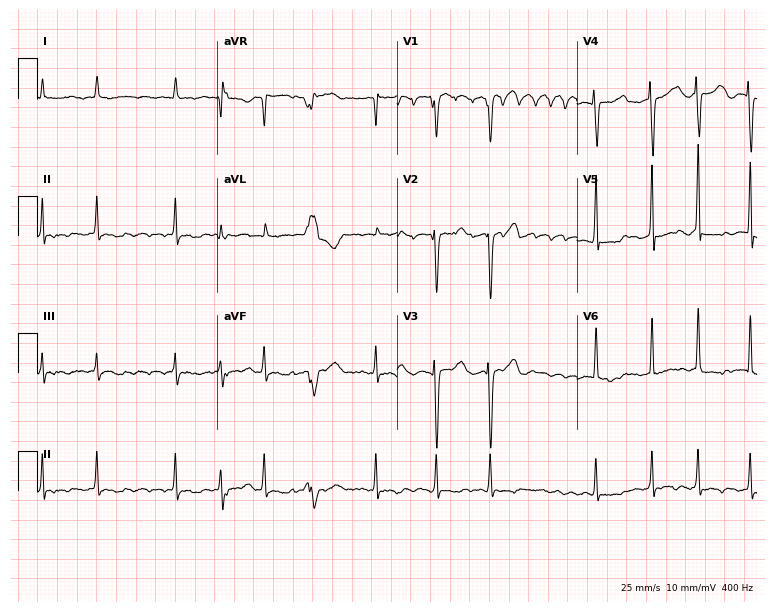
12-lead ECG from a 68-year-old woman. Shows atrial fibrillation.